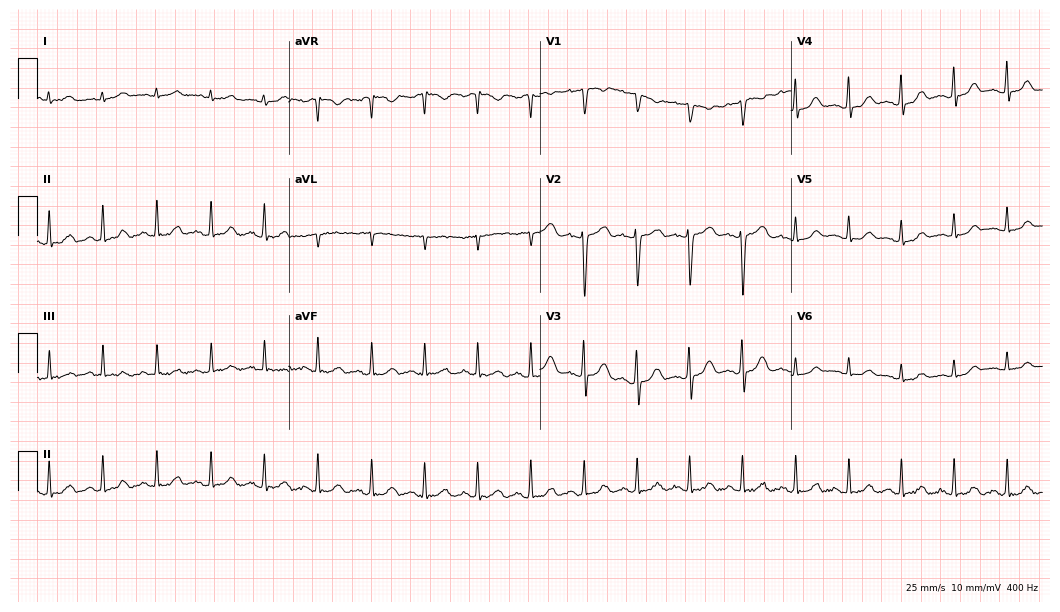
ECG (10.2-second recording at 400 Hz) — a 31-year-old female. Findings include sinus tachycardia (a sinus rate of 100 beats per minute or more).